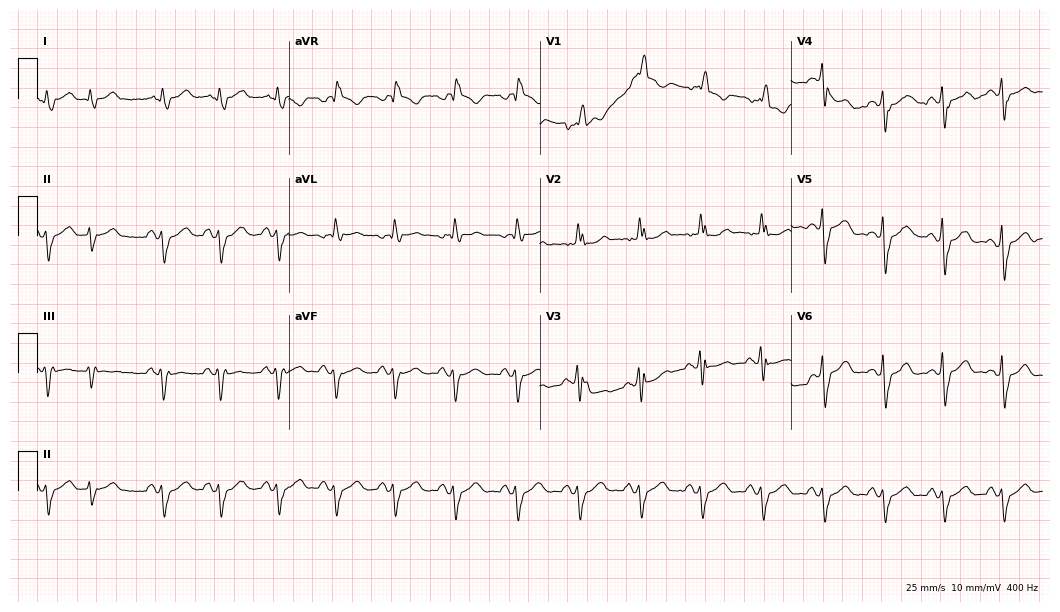
12-lead ECG from a 74-year-old male. Screened for six findings — first-degree AV block, right bundle branch block (RBBB), left bundle branch block (LBBB), sinus bradycardia, atrial fibrillation (AF), sinus tachycardia — none is recorded. Only these six findings were labelled.